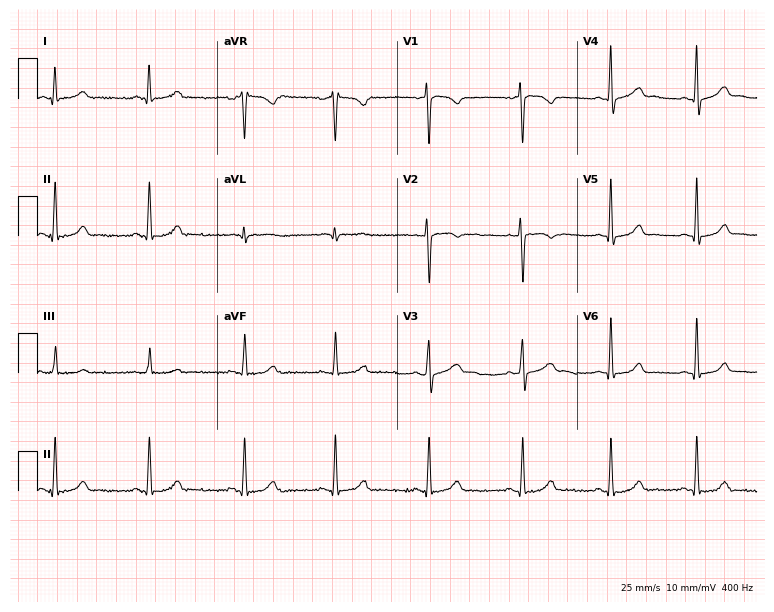
ECG — a 34-year-old female patient. Labelled as a normal ECG.